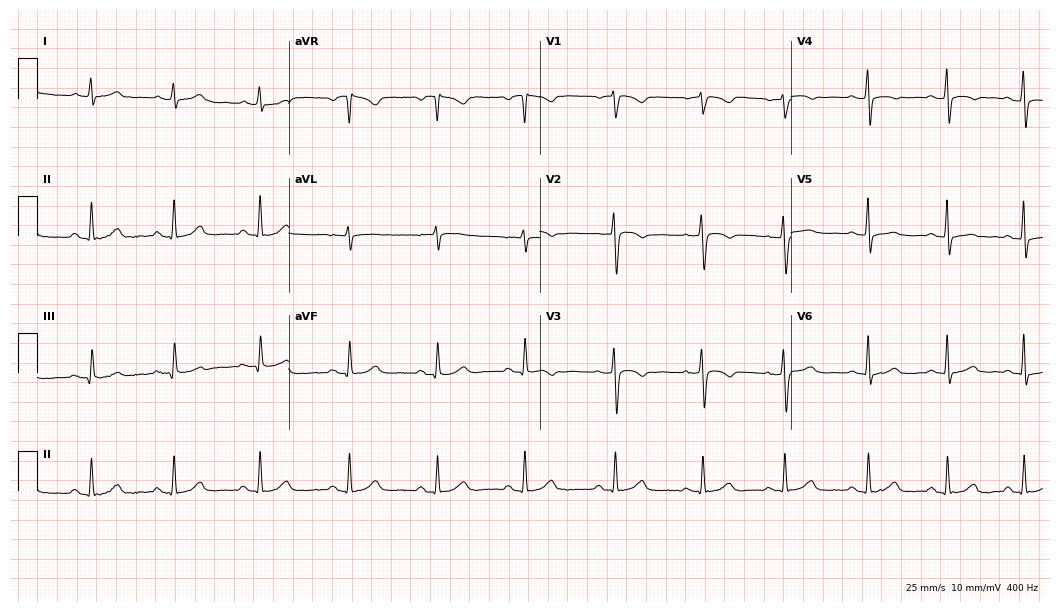
ECG — a 52-year-old female. Labelled as a normal ECG.